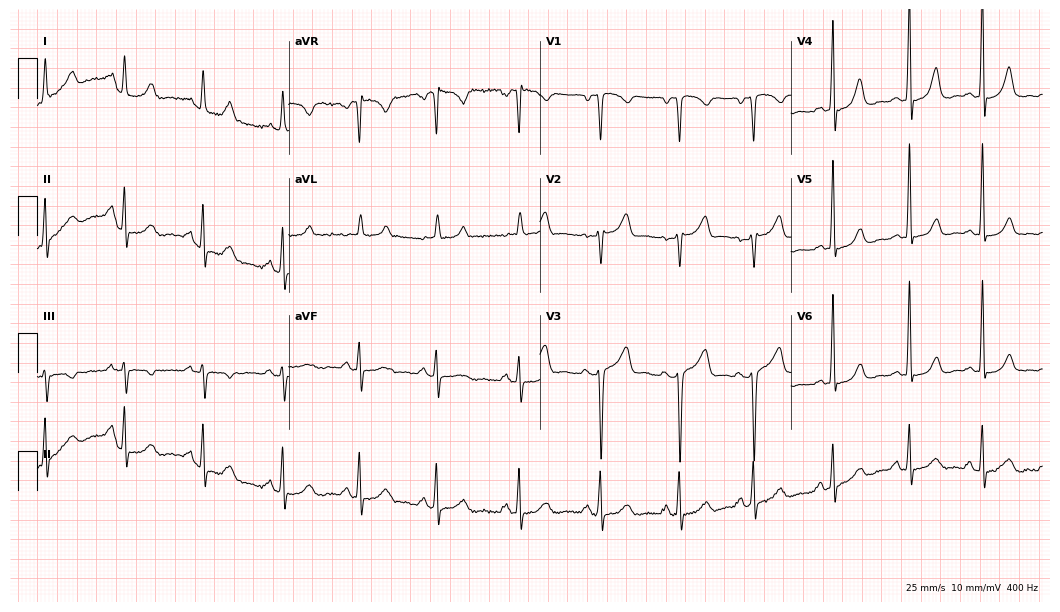
Resting 12-lead electrocardiogram. Patient: a 35-year-old female. None of these six findings is recorded: first-degree AV block, right bundle branch block, left bundle branch block, sinus bradycardia, atrial fibrillation, sinus tachycardia.